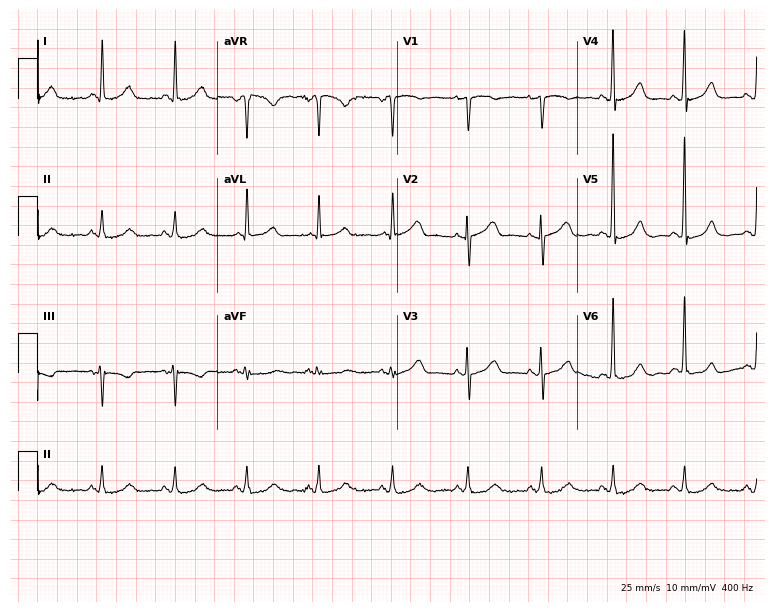
12-lead ECG (7.3-second recording at 400 Hz) from an 80-year-old woman. Labelled as a normal ECG.